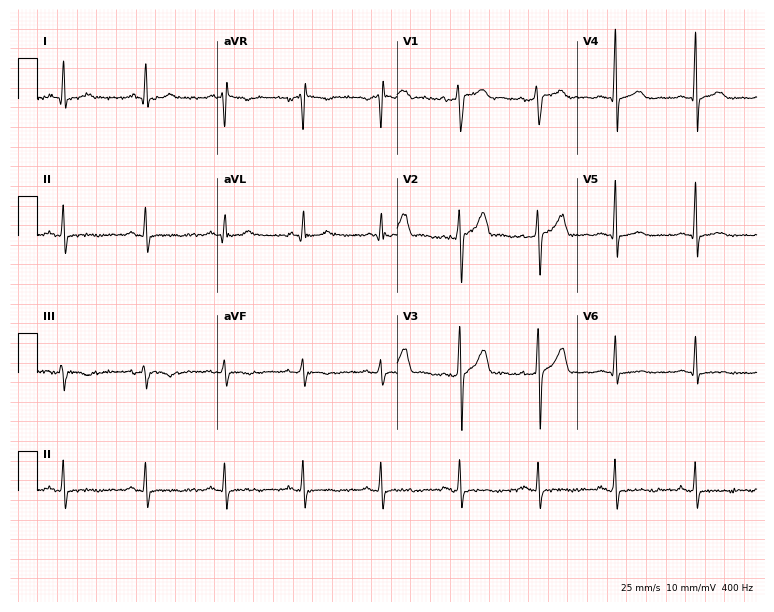
Standard 12-lead ECG recorded from a 33-year-old female (7.3-second recording at 400 Hz). None of these six findings is recorded: first-degree AV block, right bundle branch block (RBBB), left bundle branch block (LBBB), sinus bradycardia, atrial fibrillation (AF), sinus tachycardia.